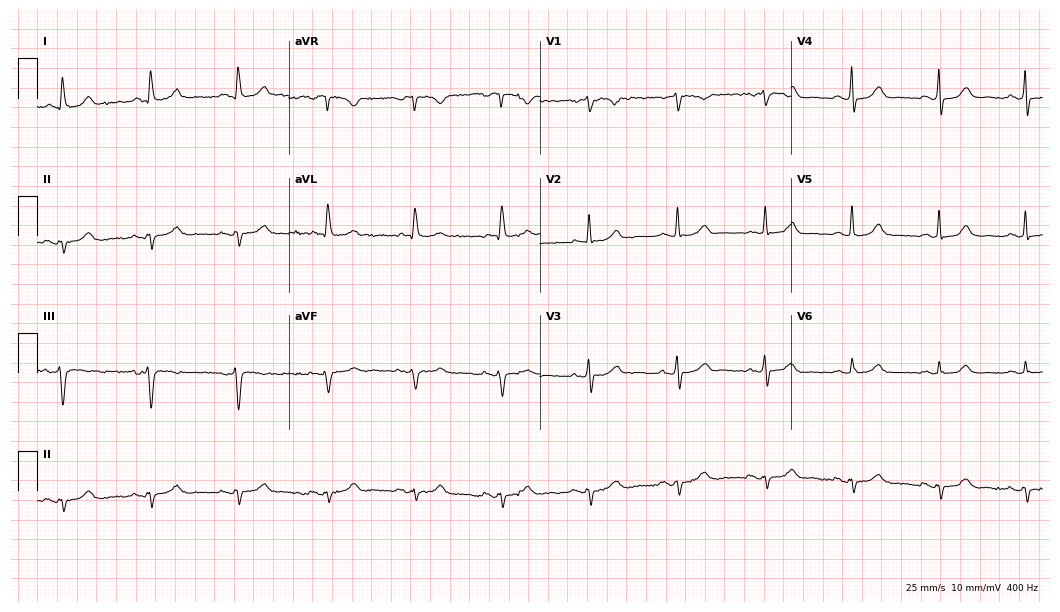
ECG — a female patient, 77 years old. Screened for six findings — first-degree AV block, right bundle branch block, left bundle branch block, sinus bradycardia, atrial fibrillation, sinus tachycardia — none is recorded.